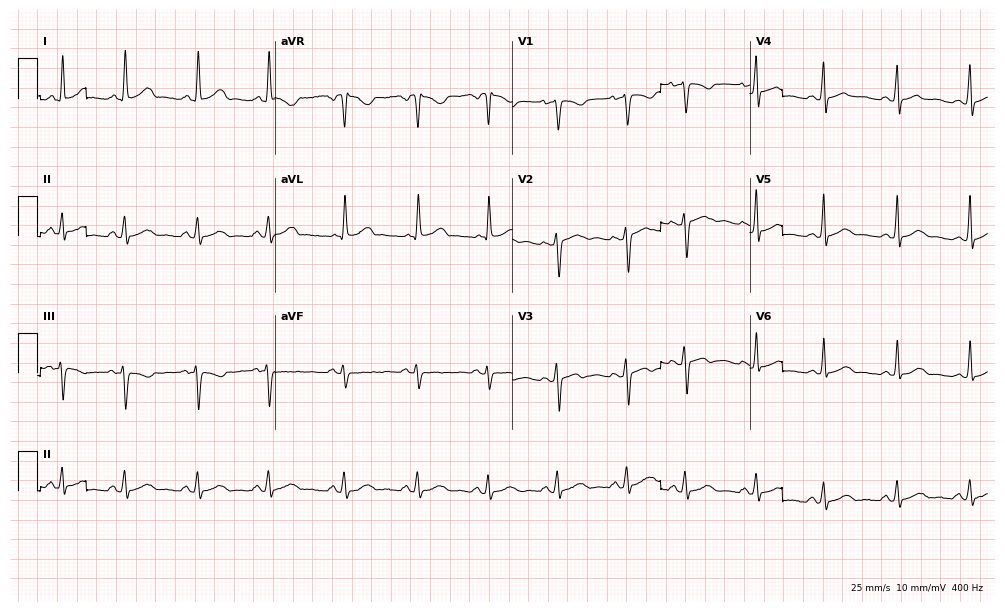
Resting 12-lead electrocardiogram (9.7-second recording at 400 Hz). Patient: a female, 34 years old. Read as a normal ECG.